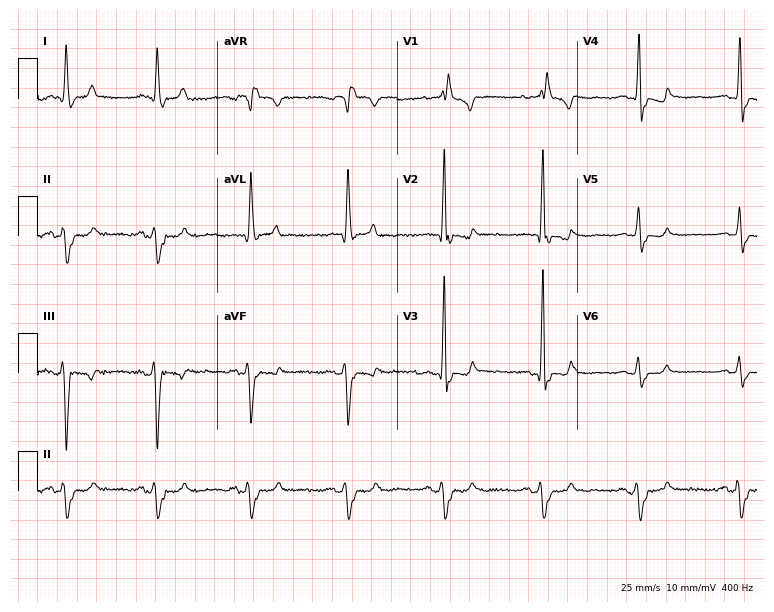
Resting 12-lead electrocardiogram. Patient: a 76-year-old female. The tracing shows right bundle branch block.